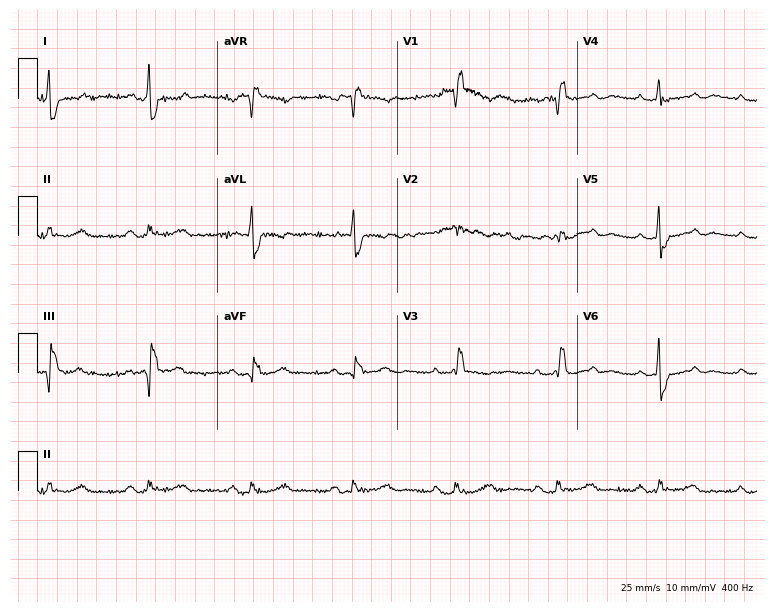
ECG — a woman, 64 years old. Findings include right bundle branch block (RBBB).